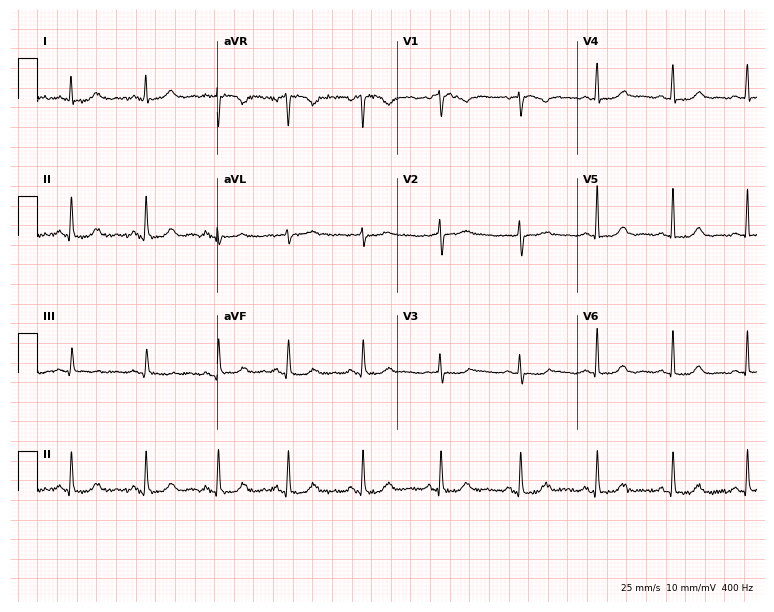
12-lead ECG from a woman, 47 years old. No first-degree AV block, right bundle branch block (RBBB), left bundle branch block (LBBB), sinus bradycardia, atrial fibrillation (AF) or sinus tachycardia recorded for this tracing. Findings outside these six are not listed.